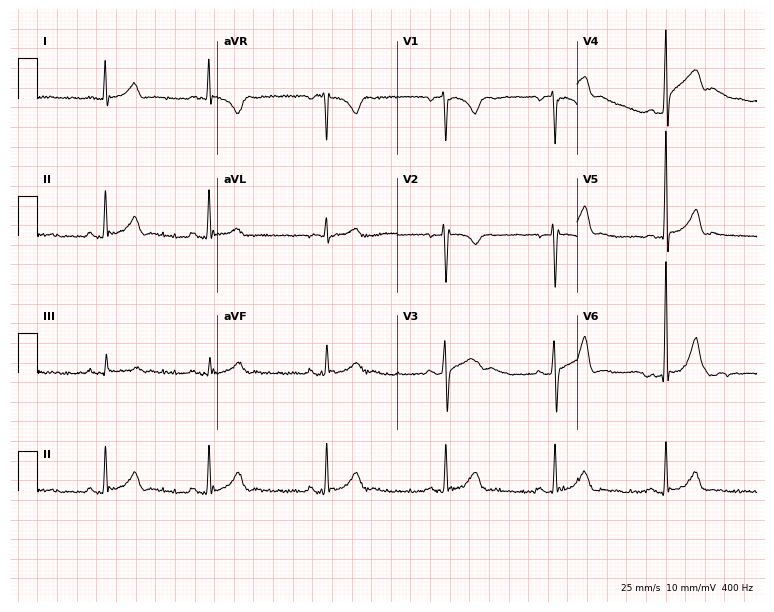
Standard 12-lead ECG recorded from a male patient, 35 years old. Read as a normal ECG.